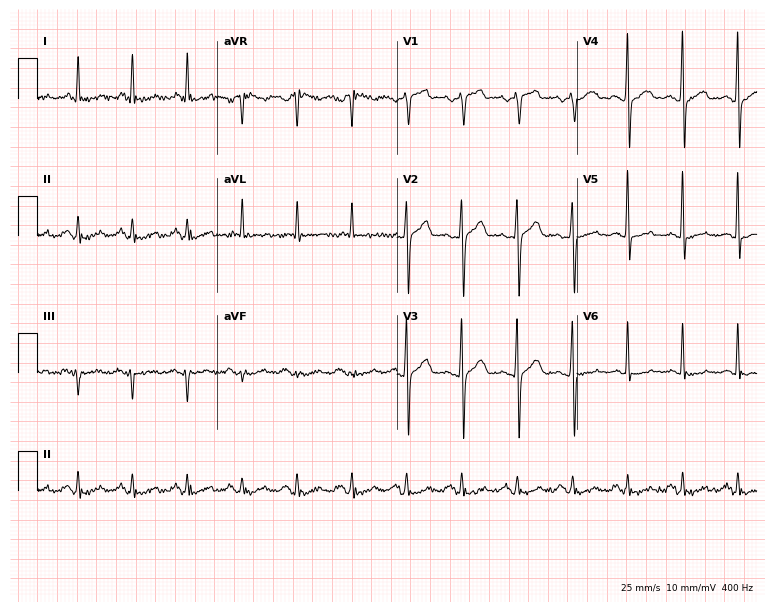
Resting 12-lead electrocardiogram (7.3-second recording at 400 Hz). Patient: a 57-year-old man. The tracing shows sinus tachycardia (a sinus rate of 100 beats per minute or more).